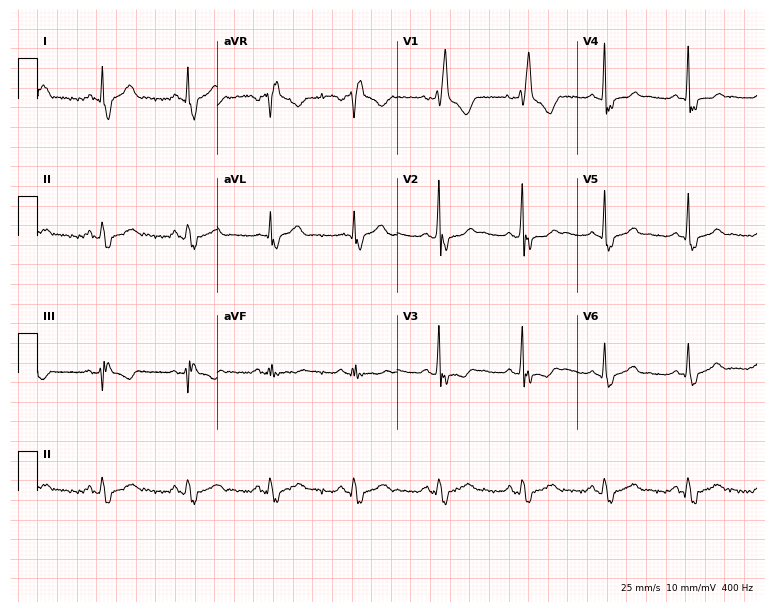
Electrocardiogram, a man, 61 years old. Interpretation includes right bundle branch block (RBBB).